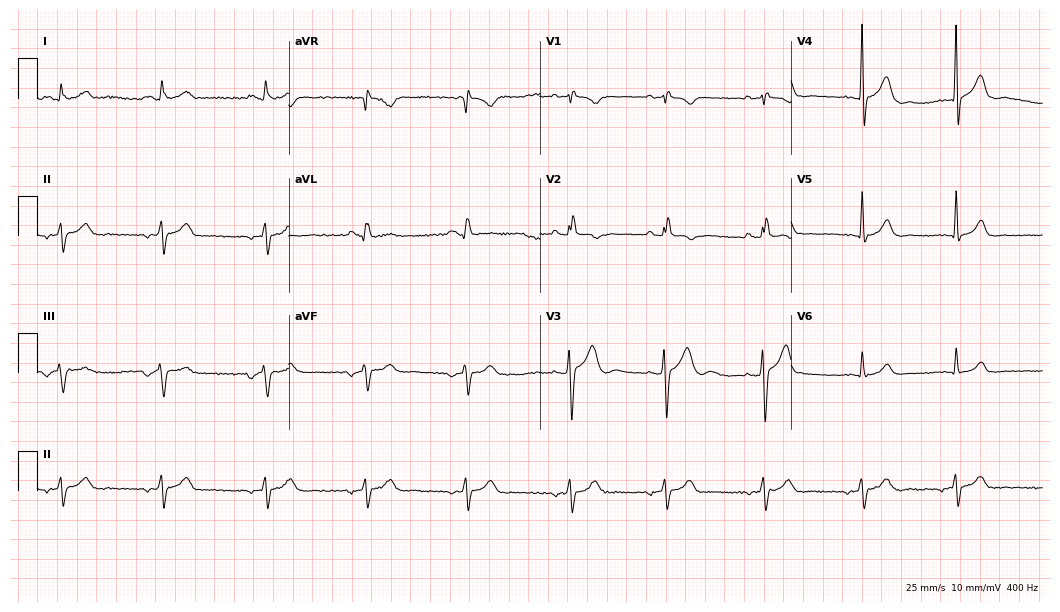
12-lead ECG from a male patient, 21 years old. Screened for six findings — first-degree AV block, right bundle branch block, left bundle branch block, sinus bradycardia, atrial fibrillation, sinus tachycardia — none is recorded.